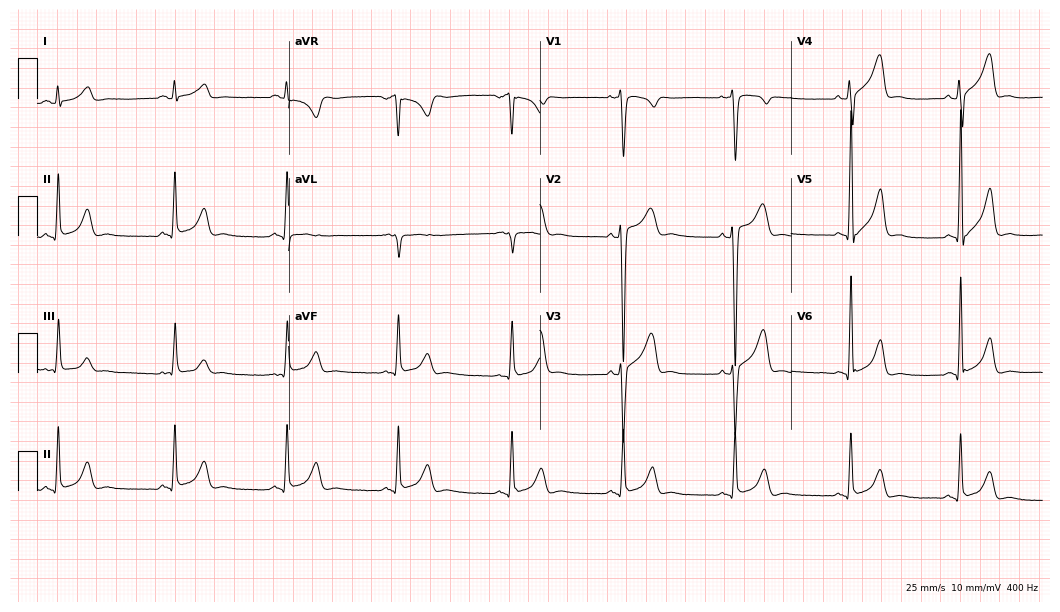
ECG (10.2-second recording at 400 Hz) — a male patient, 28 years old. Screened for six findings — first-degree AV block, right bundle branch block, left bundle branch block, sinus bradycardia, atrial fibrillation, sinus tachycardia — none is recorded. Other findings, if any, are not listed.